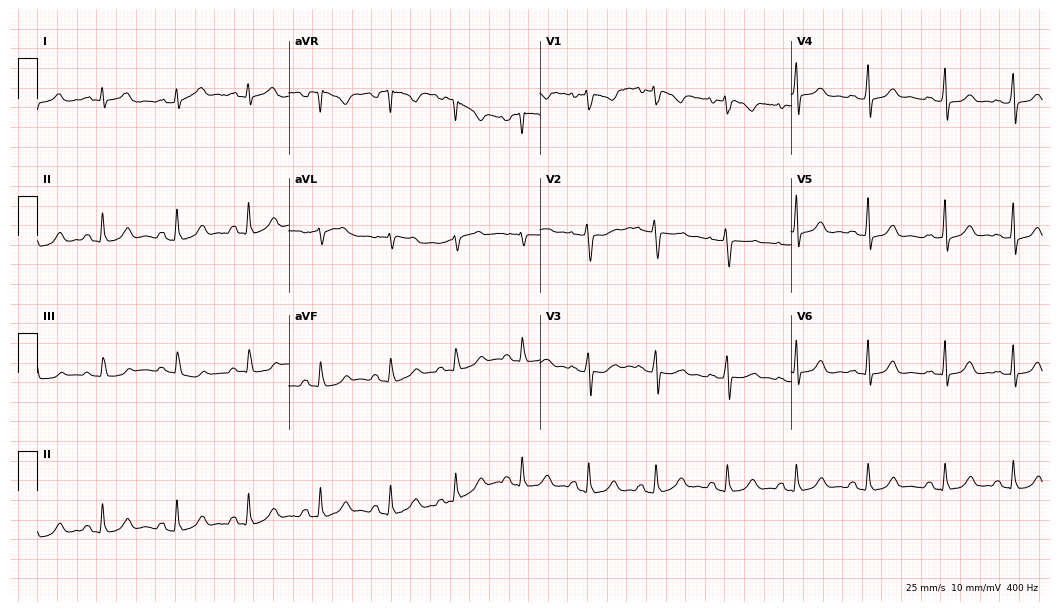
12-lead ECG from a female, 28 years old. Recorded interpretation: within normal limits.